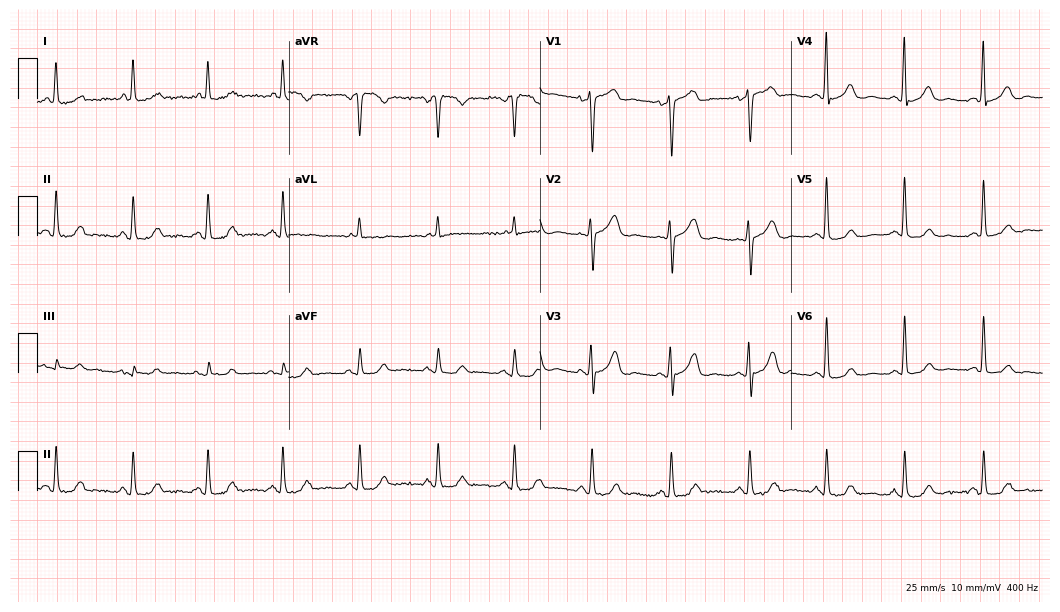
ECG (10.2-second recording at 400 Hz) — a woman, 72 years old. Labelled as a normal ECG.